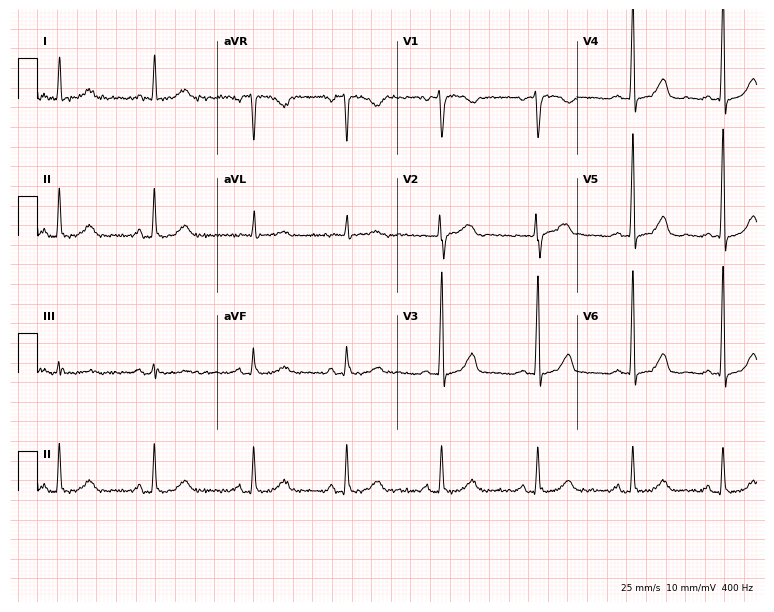
12-lead ECG from a 60-year-old female patient. Screened for six findings — first-degree AV block, right bundle branch block, left bundle branch block, sinus bradycardia, atrial fibrillation, sinus tachycardia — none is recorded.